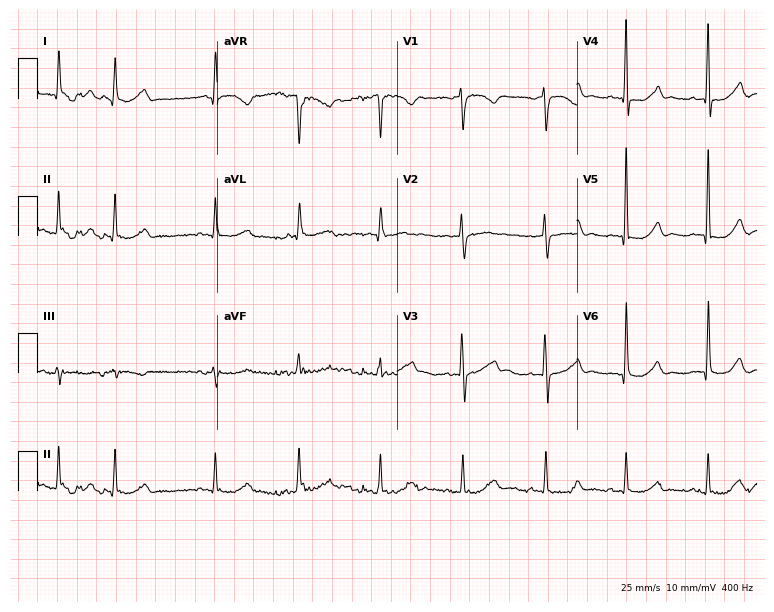
Standard 12-lead ECG recorded from a 68-year-old female patient (7.3-second recording at 400 Hz). Read as a normal ECG.